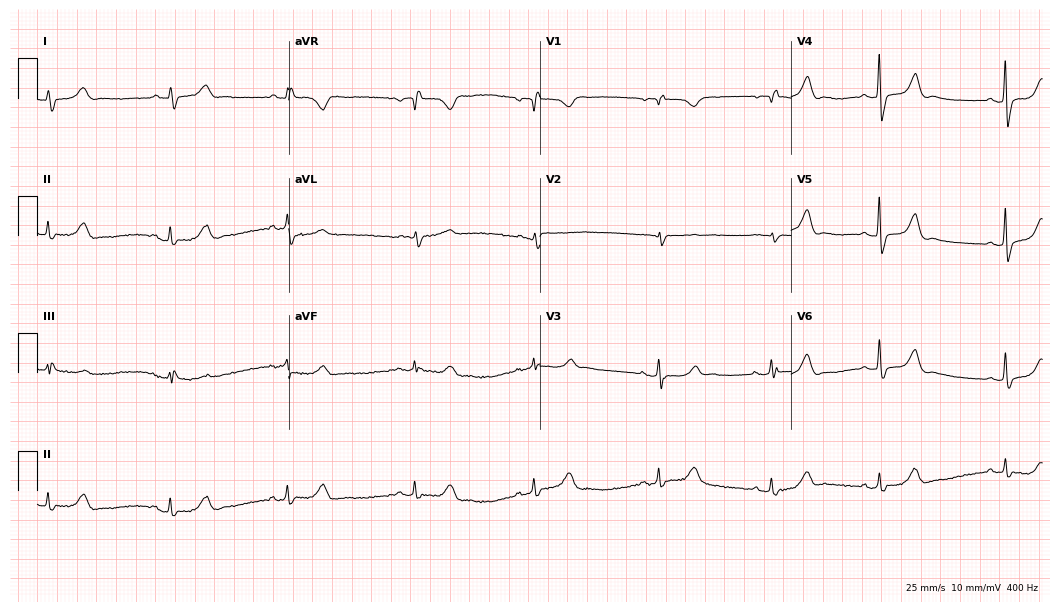
Standard 12-lead ECG recorded from a female patient, 72 years old. None of these six findings is recorded: first-degree AV block, right bundle branch block, left bundle branch block, sinus bradycardia, atrial fibrillation, sinus tachycardia.